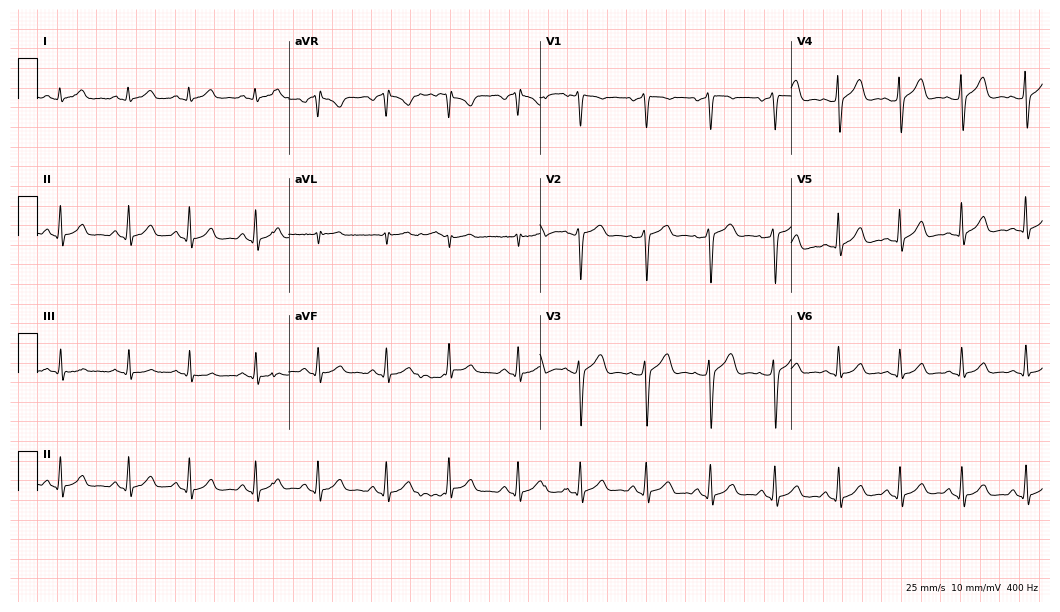
Standard 12-lead ECG recorded from a man, 44 years old. Read as a normal ECG.